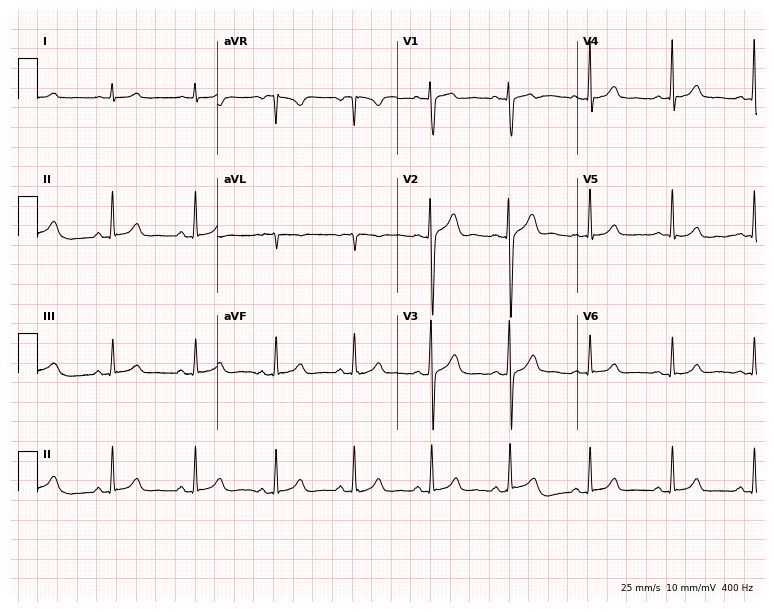
12-lead ECG from a 23-year-old man (7.3-second recording at 400 Hz). Recorded interpretation: within normal limits.